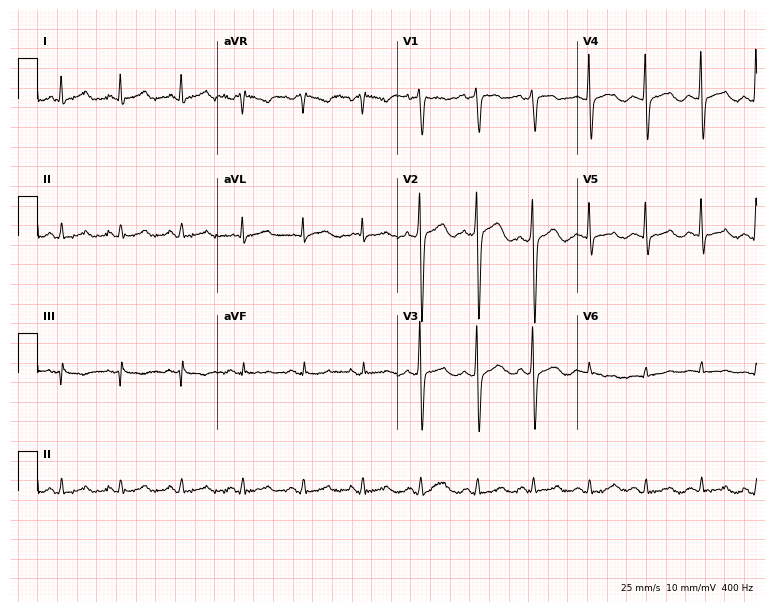
Resting 12-lead electrocardiogram (7.3-second recording at 400 Hz). Patient: a man, 58 years old. None of these six findings is recorded: first-degree AV block, right bundle branch block, left bundle branch block, sinus bradycardia, atrial fibrillation, sinus tachycardia.